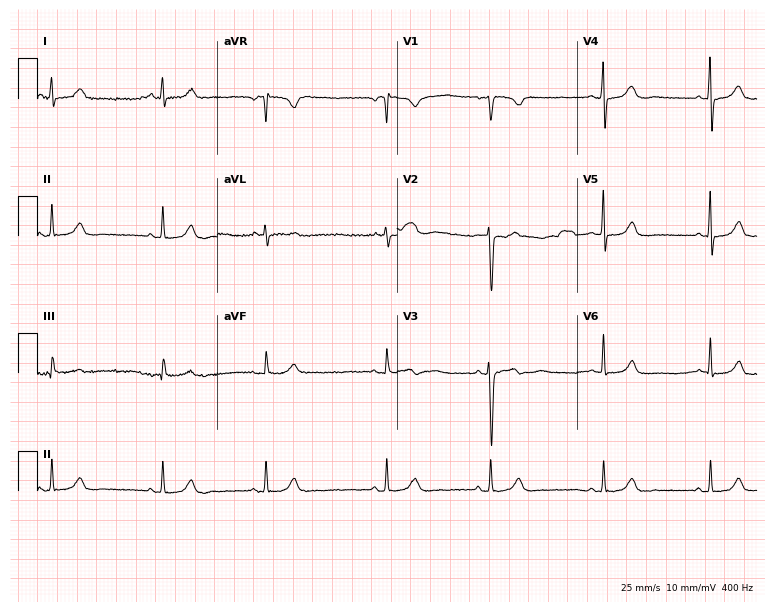
Electrocardiogram, a 35-year-old woman. Overall reading on record: normal ECG.